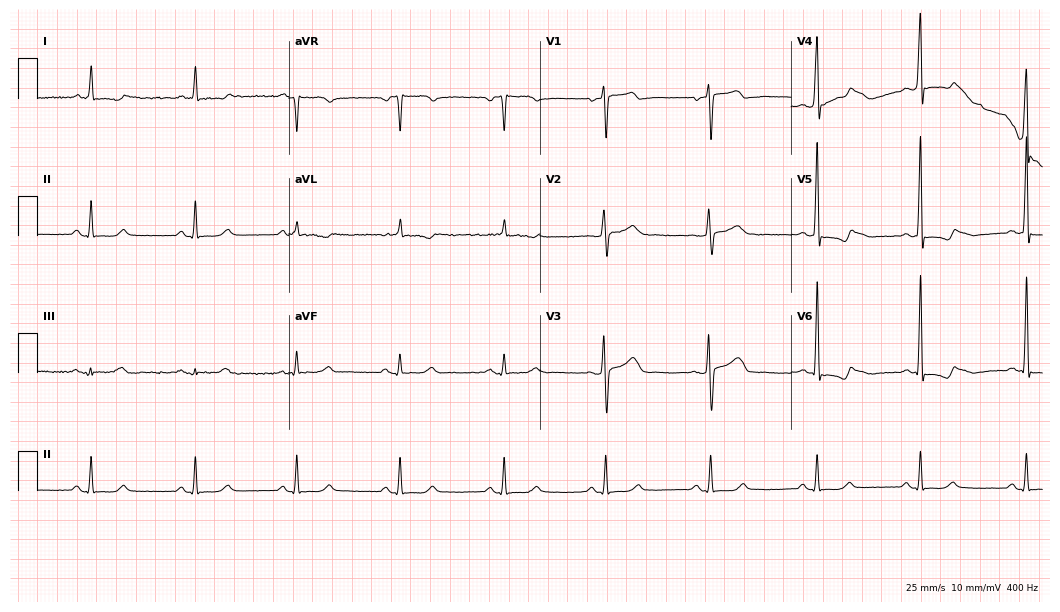
Standard 12-lead ECG recorded from a female patient, 59 years old (10.2-second recording at 400 Hz). Read as a normal ECG.